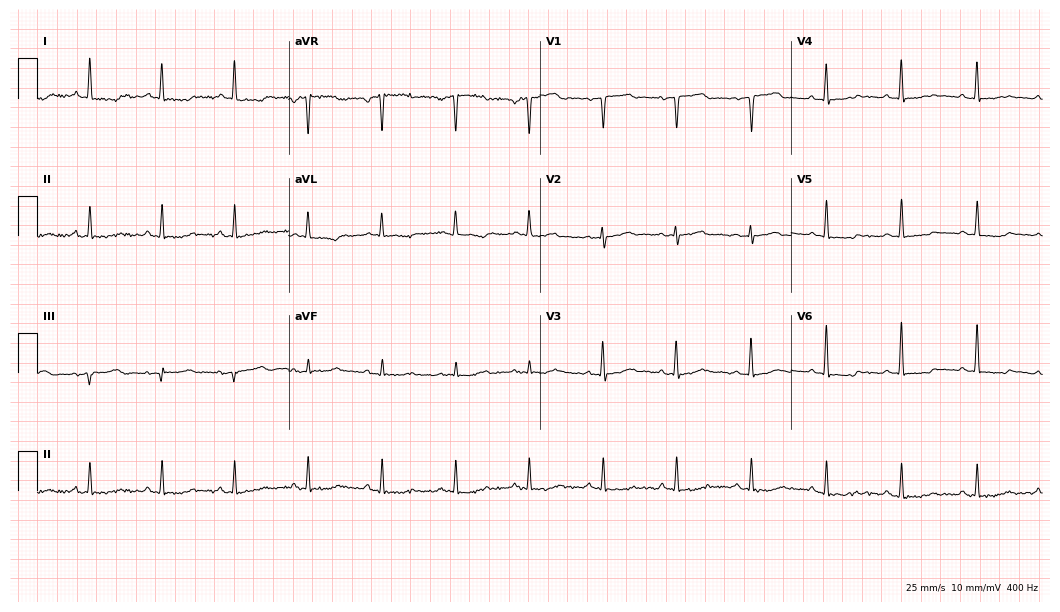
Resting 12-lead electrocardiogram (10.2-second recording at 400 Hz). Patient: a 54-year-old female. None of these six findings is recorded: first-degree AV block, right bundle branch block, left bundle branch block, sinus bradycardia, atrial fibrillation, sinus tachycardia.